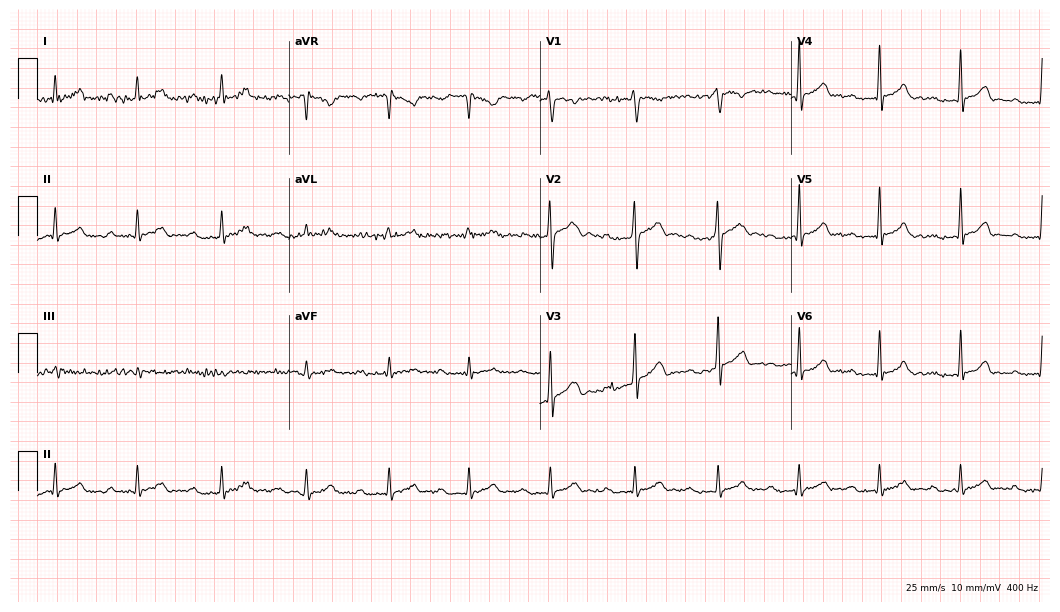
12-lead ECG from a 25-year-old male (10.2-second recording at 400 Hz). Shows atrial fibrillation.